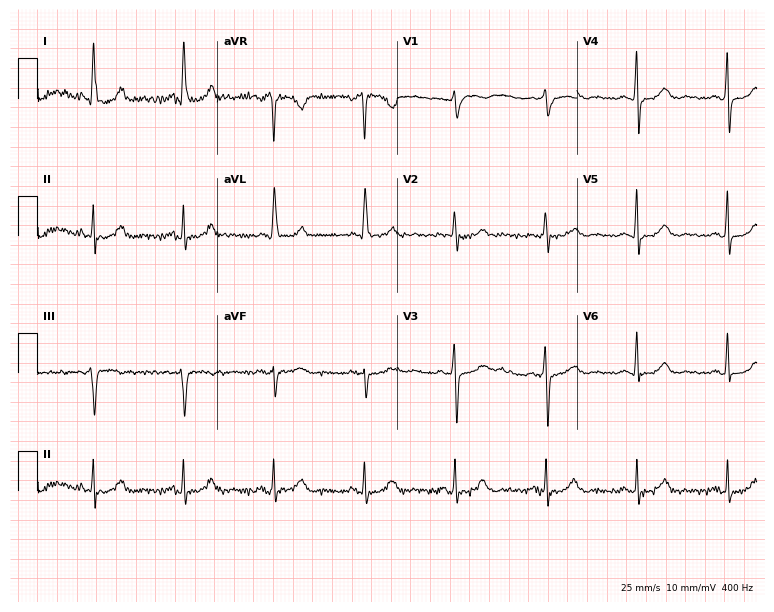
ECG (7.3-second recording at 400 Hz) — a 68-year-old female patient. Labelled as a normal ECG.